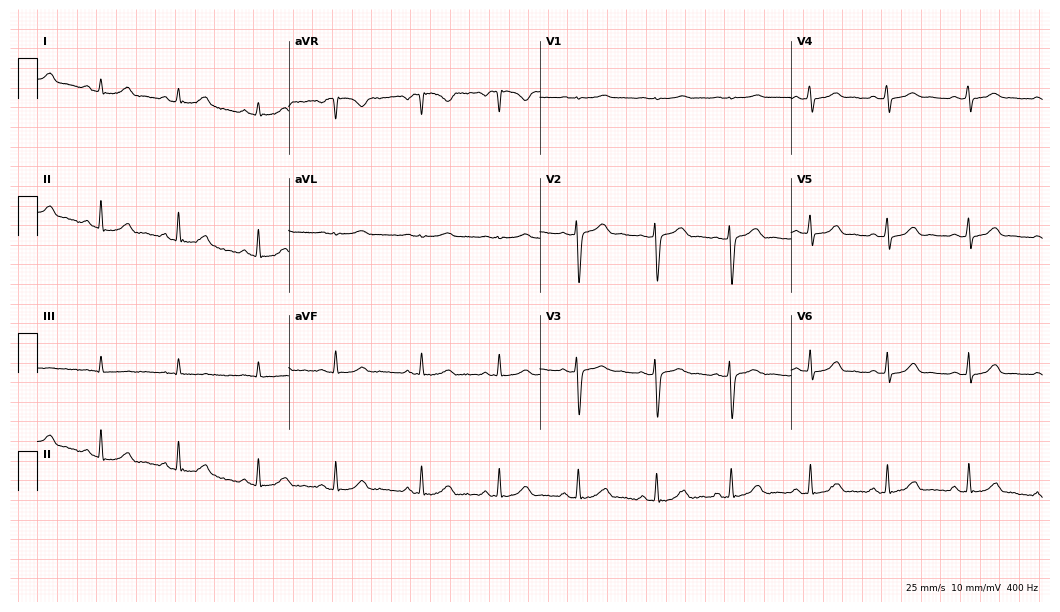
ECG (10.2-second recording at 400 Hz) — a female, 25 years old. Labelled as a normal ECG.